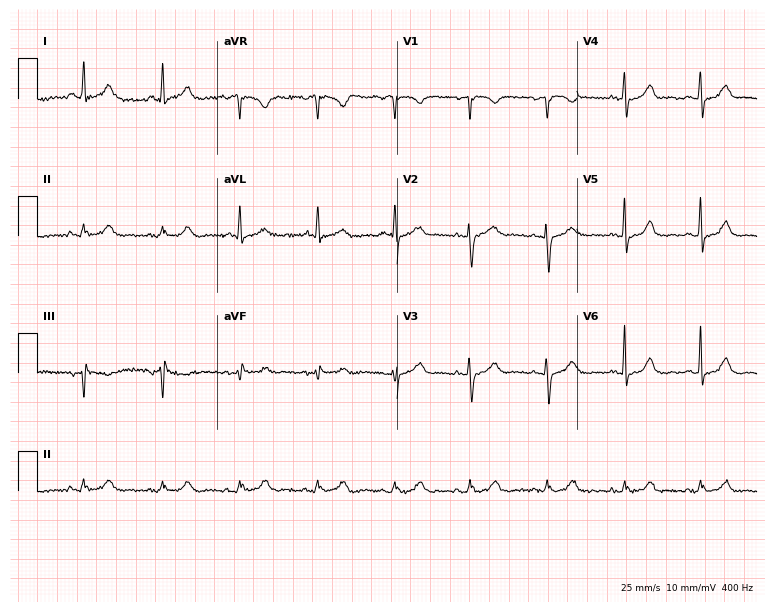
Standard 12-lead ECG recorded from a female patient, 77 years old. Read as a normal ECG.